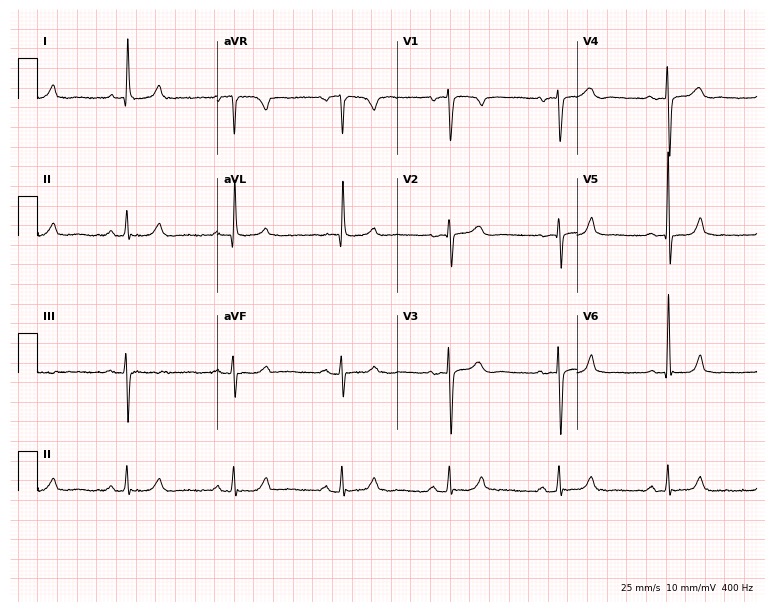
Resting 12-lead electrocardiogram (7.3-second recording at 400 Hz). Patient: a 75-year-old woman. Read as a normal ECG.